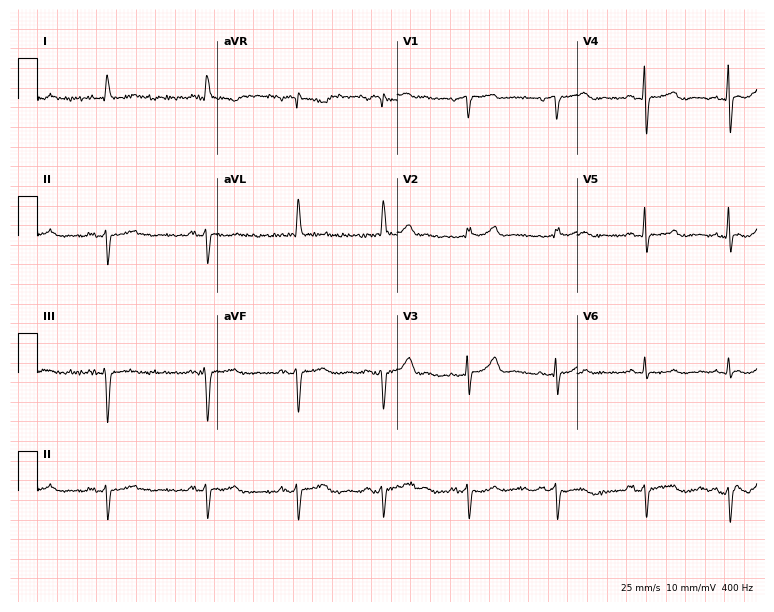
Resting 12-lead electrocardiogram (7.3-second recording at 400 Hz). Patient: a male, 76 years old. None of these six findings is recorded: first-degree AV block, right bundle branch block (RBBB), left bundle branch block (LBBB), sinus bradycardia, atrial fibrillation (AF), sinus tachycardia.